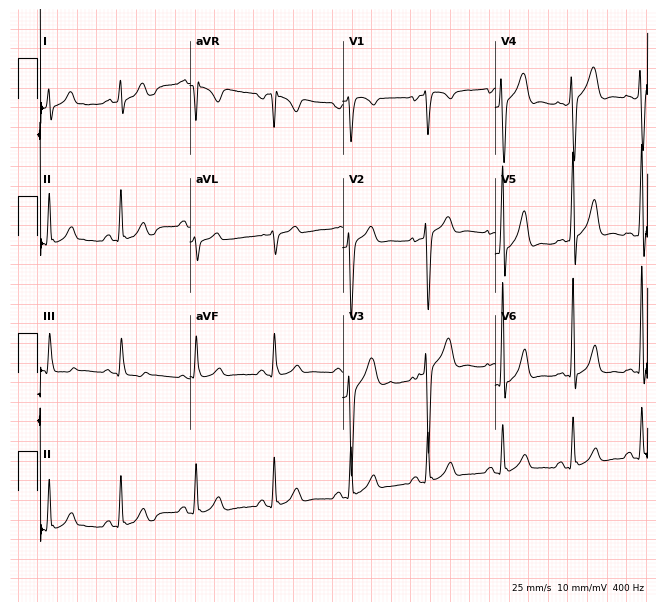
12-lead ECG (6.2-second recording at 400 Hz) from a male, 23 years old. Screened for six findings — first-degree AV block, right bundle branch block, left bundle branch block, sinus bradycardia, atrial fibrillation, sinus tachycardia — none is recorded.